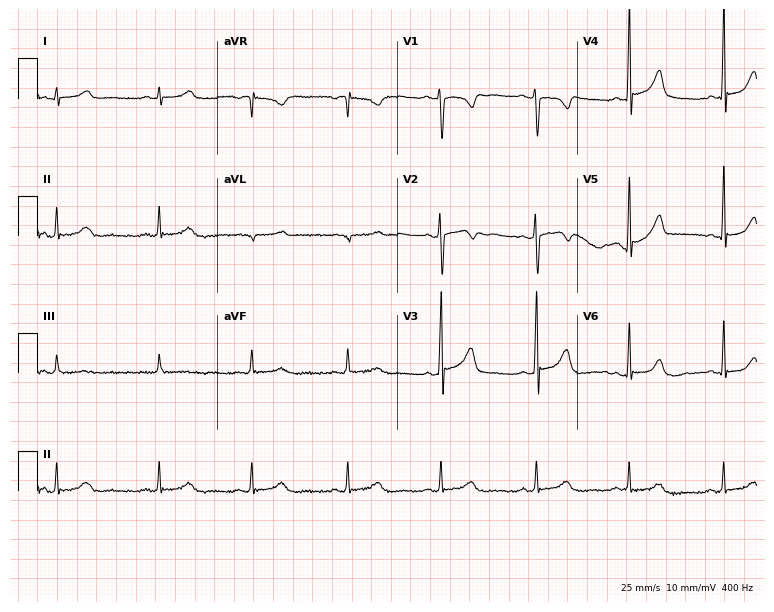
Electrocardiogram, a 28-year-old woman. Overall reading on record: normal ECG.